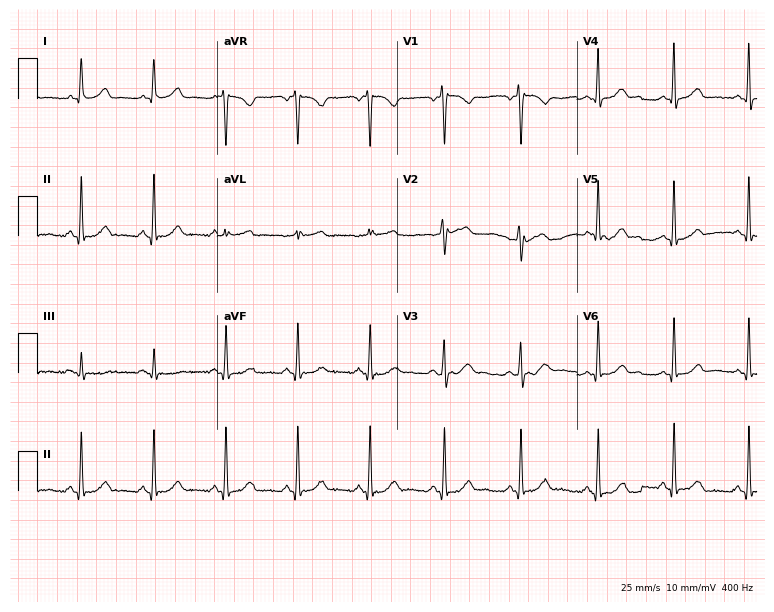
12-lead ECG from a 50-year-old female (7.3-second recording at 400 Hz). Recorded interpretation: within normal limits.